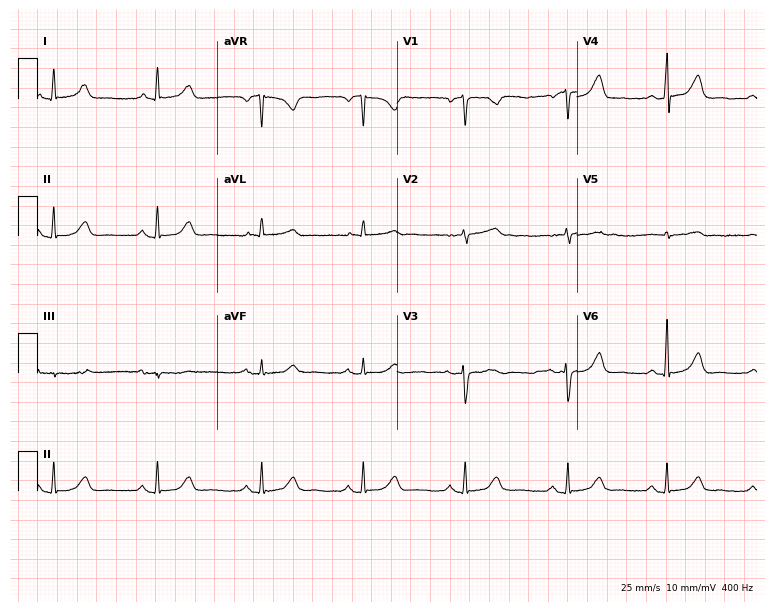
Standard 12-lead ECG recorded from a 58-year-old woman. Read as a normal ECG.